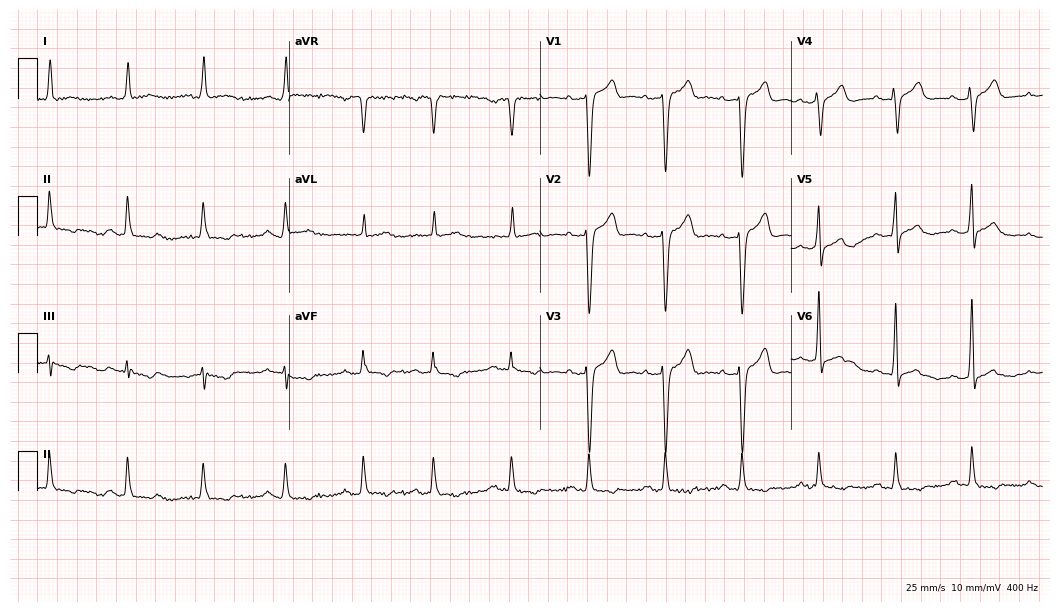
12-lead ECG from a man, 80 years old. Labelled as a normal ECG.